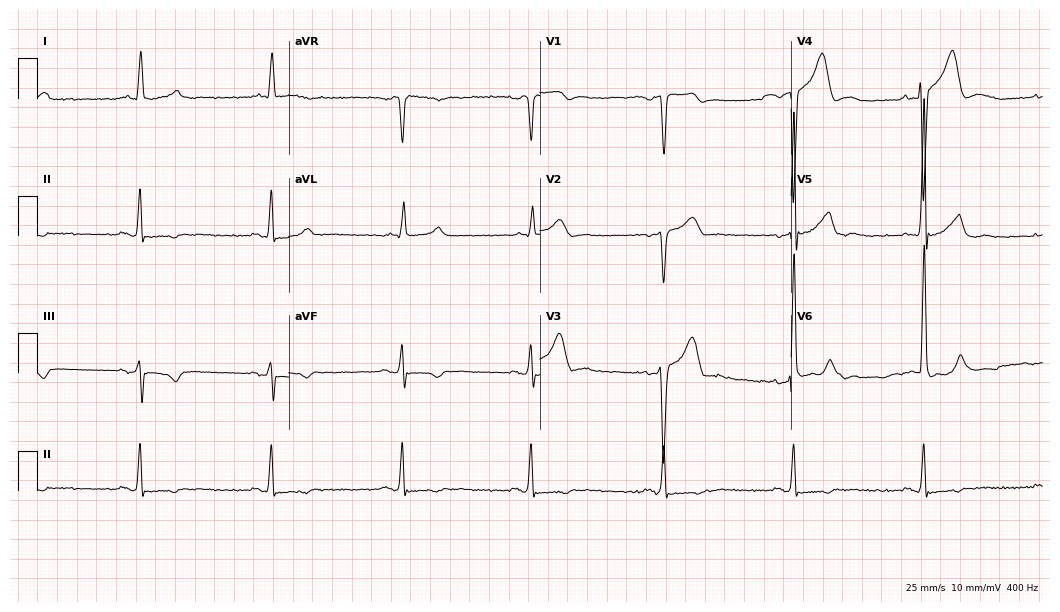
ECG — a male, 68 years old. Findings include sinus bradycardia (a sinus rate of 50 beats per minute or less).